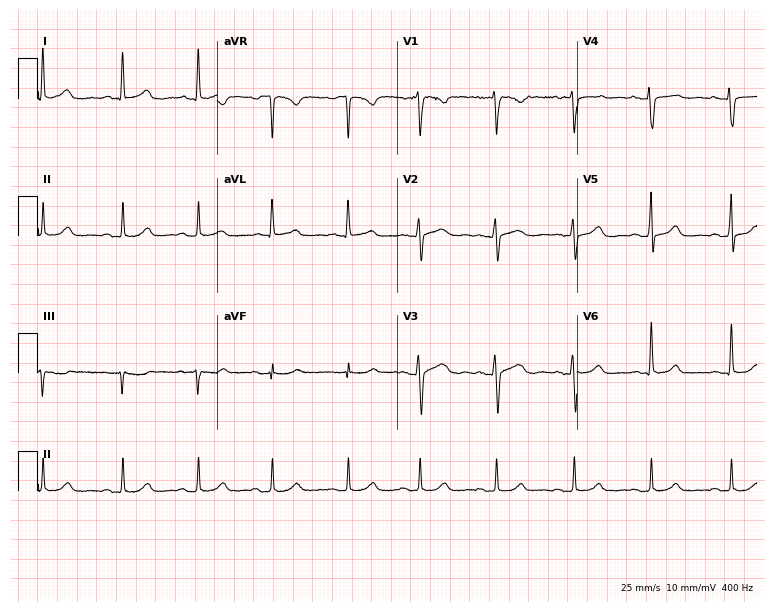
12-lead ECG (7.3-second recording at 400 Hz) from a female, 44 years old. Labelled as a normal ECG.